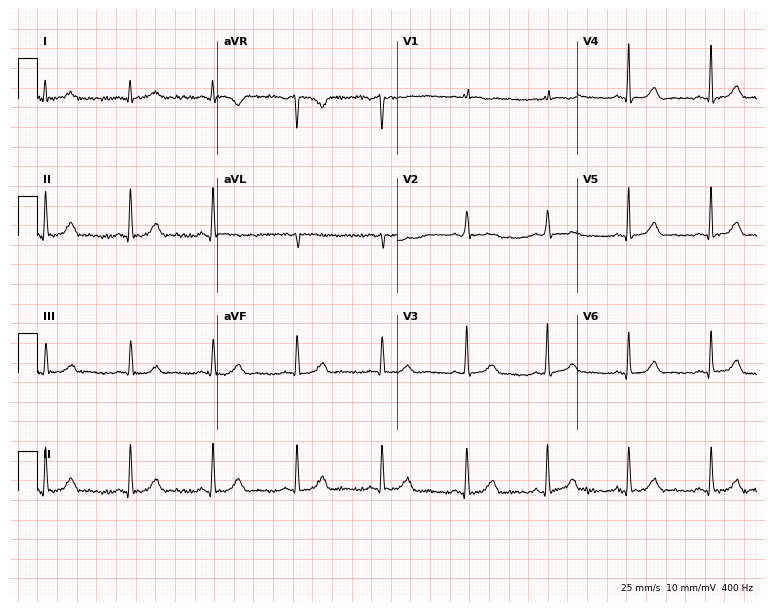
12-lead ECG from a female patient, 40 years old (7.3-second recording at 400 Hz). Recorded interpretation: within normal limits.